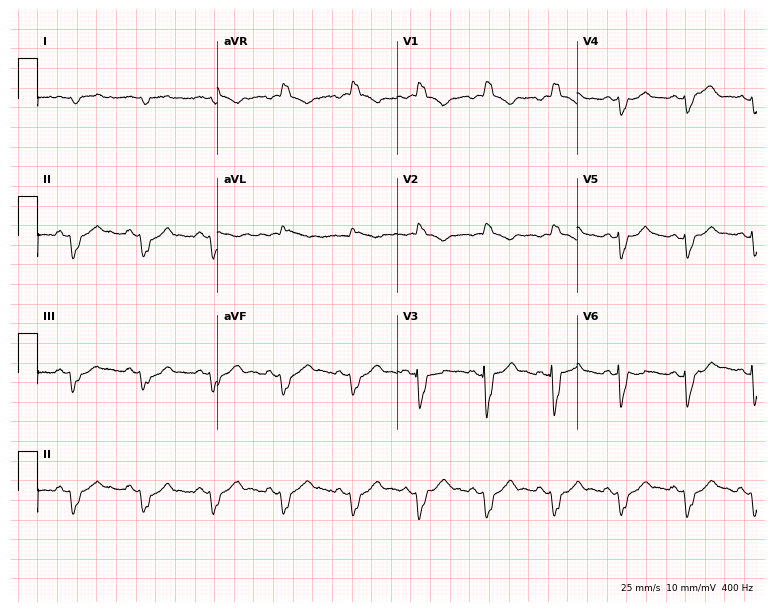
Resting 12-lead electrocardiogram (7.3-second recording at 400 Hz). Patient: a male, 54 years old. The tracing shows right bundle branch block (RBBB).